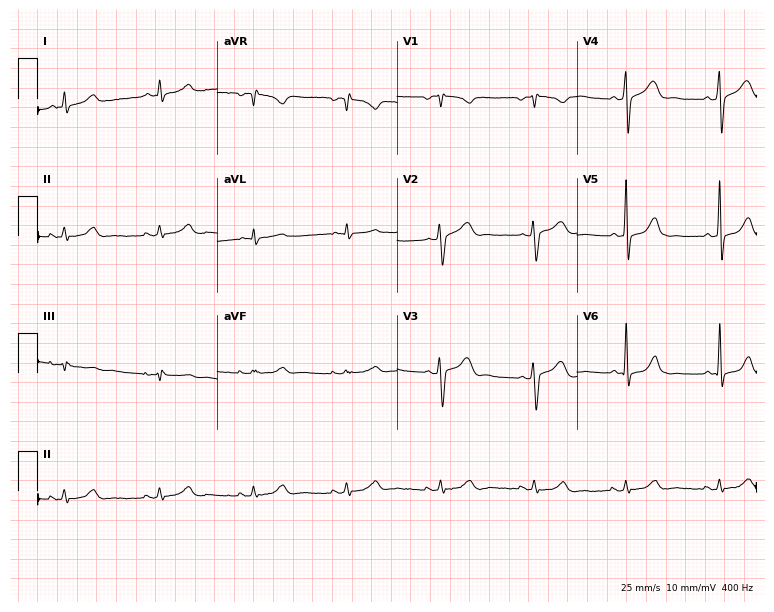
ECG — a 47-year-old female. Screened for six findings — first-degree AV block, right bundle branch block, left bundle branch block, sinus bradycardia, atrial fibrillation, sinus tachycardia — none is recorded.